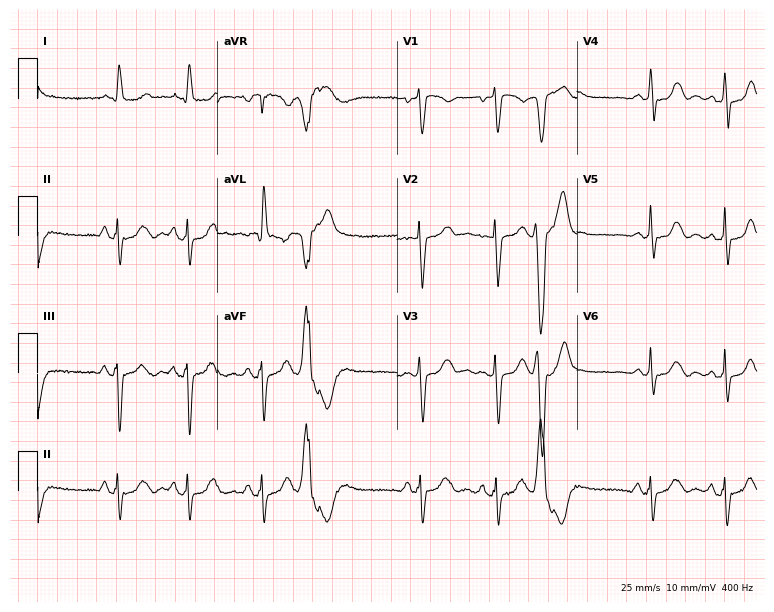
Standard 12-lead ECG recorded from an 80-year-old female patient. None of these six findings is recorded: first-degree AV block, right bundle branch block, left bundle branch block, sinus bradycardia, atrial fibrillation, sinus tachycardia. Only these six findings were labelled.